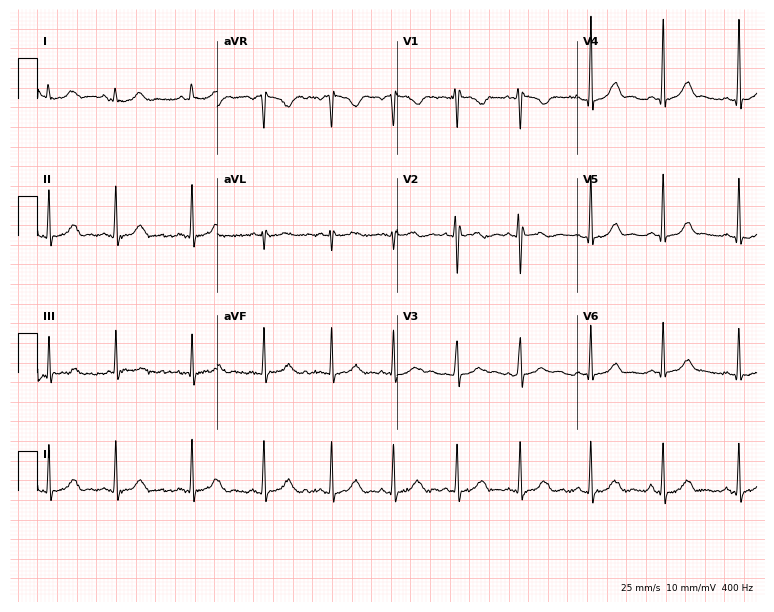
12-lead ECG (7.3-second recording at 400 Hz) from a female, 28 years old. Labelled as a normal ECG.